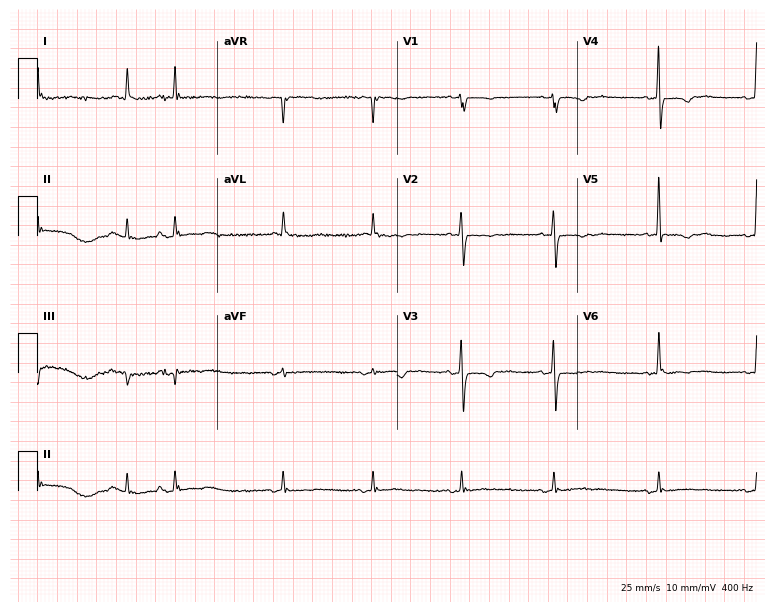
Electrocardiogram, a 75-year-old female. Overall reading on record: normal ECG.